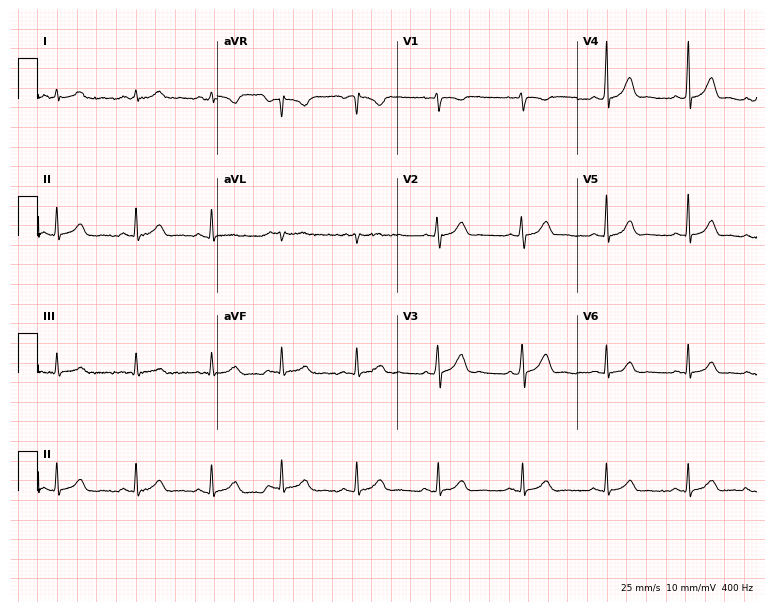
Standard 12-lead ECG recorded from a woman, 21 years old. Read as a normal ECG.